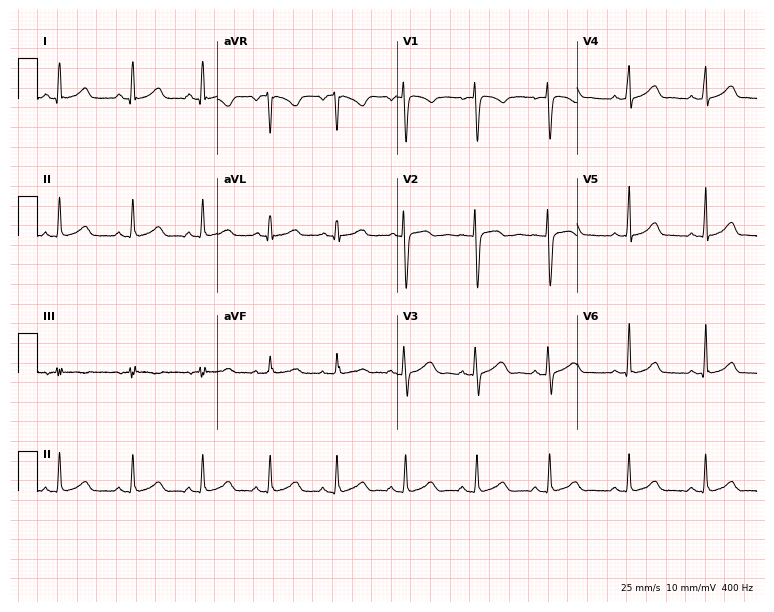
ECG — a female, 22 years old. Screened for six findings — first-degree AV block, right bundle branch block, left bundle branch block, sinus bradycardia, atrial fibrillation, sinus tachycardia — none is recorded. Only these six findings were labelled.